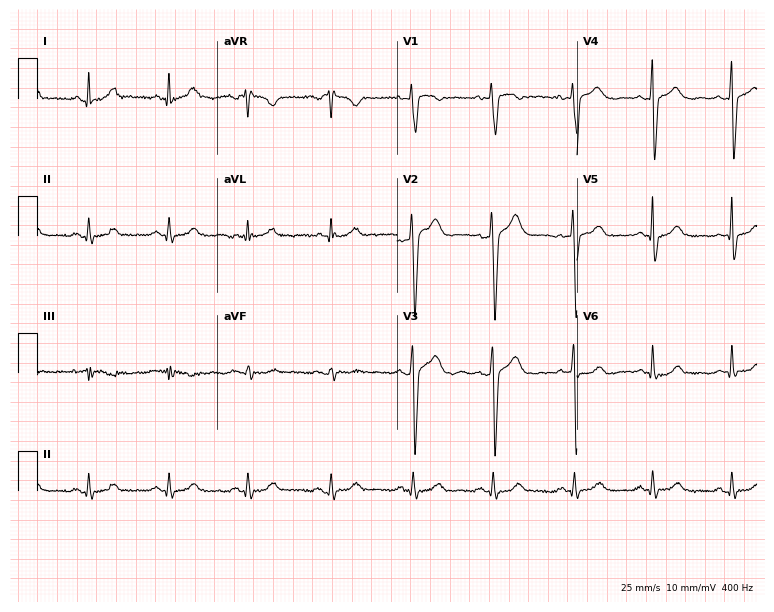
12-lead ECG from a woman, 33 years old. Screened for six findings — first-degree AV block, right bundle branch block, left bundle branch block, sinus bradycardia, atrial fibrillation, sinus tachycardia — none is recorded.